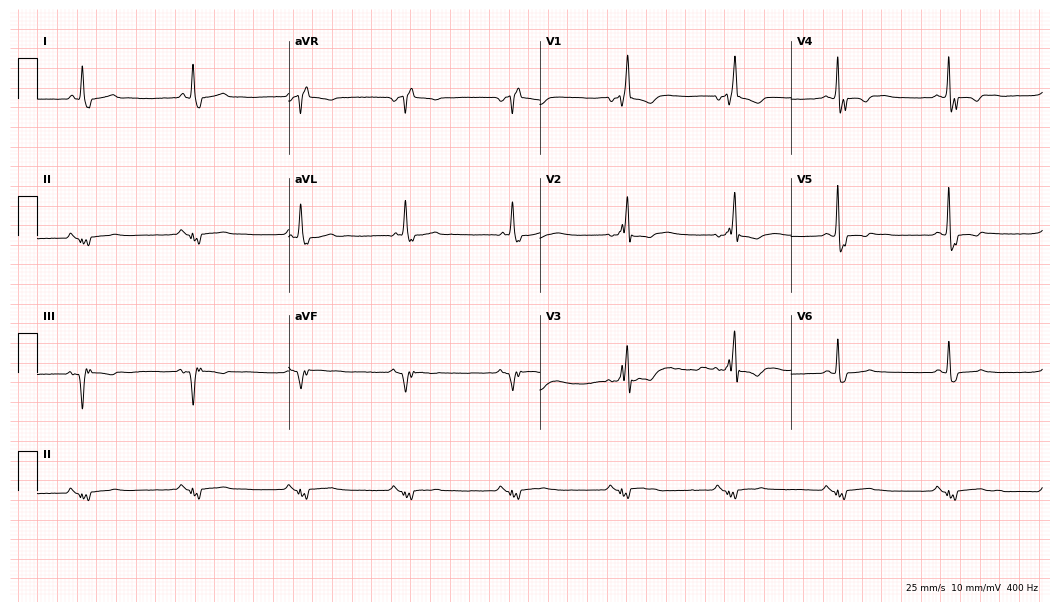
ECG — a man, 66 years old. Findings include right bundle branch block (RBBB).